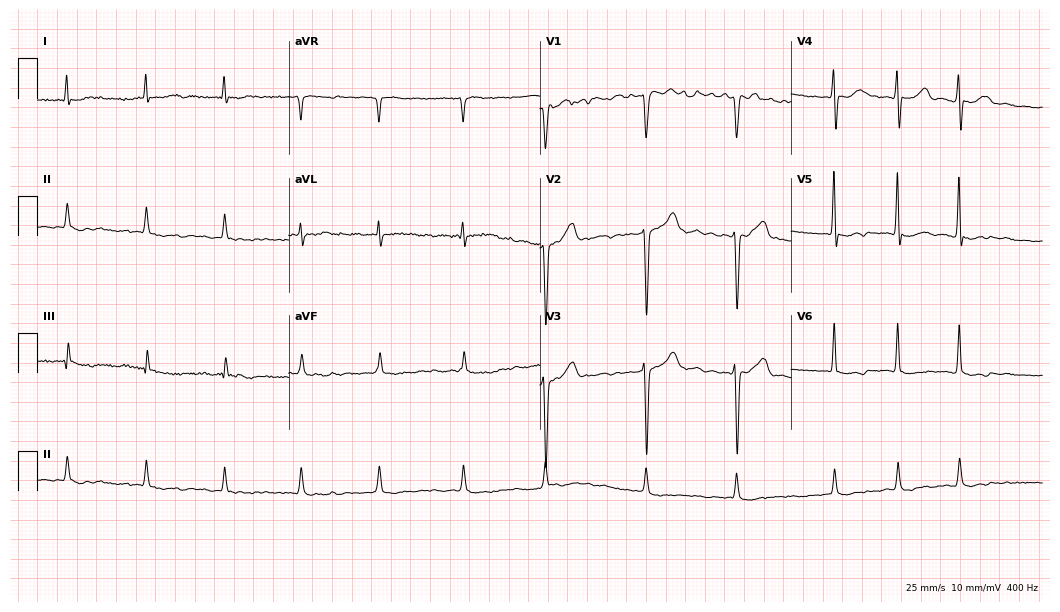
12-lead ECG from a 63-year-old male. Screened for six findings — first-degree AV block, right bundle branch block (RBBB), left bundle branch block (LBBB), sinus bradycardia, atrial fibrillation (AF), sinus tachycardia — none is recorded. Only these six findings were labelled.